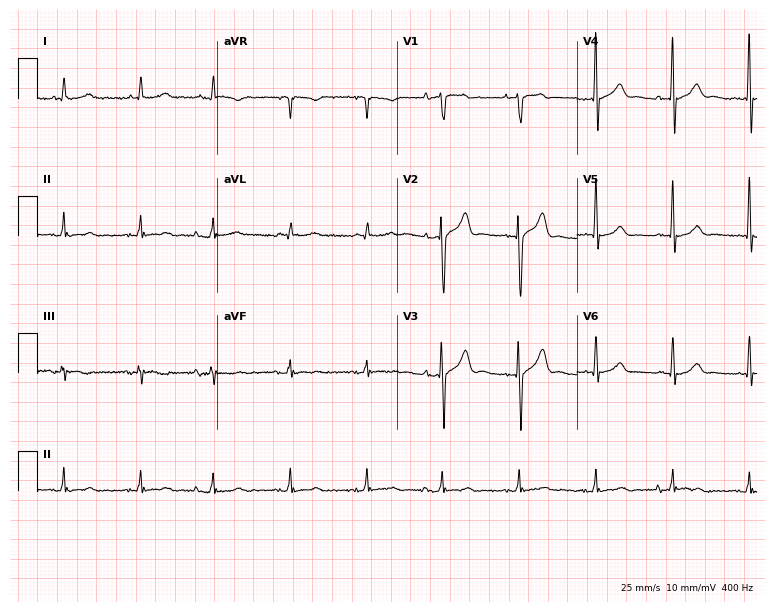
ECG (7.3-second recording at 400 Hz) — an 80-year-old man. Screened for six findings — first-degree AV block, right bundle branch block, left bundle branch block, sinus bradycardia, atrial fibrillation, sinus tachycardia — none is recorded.